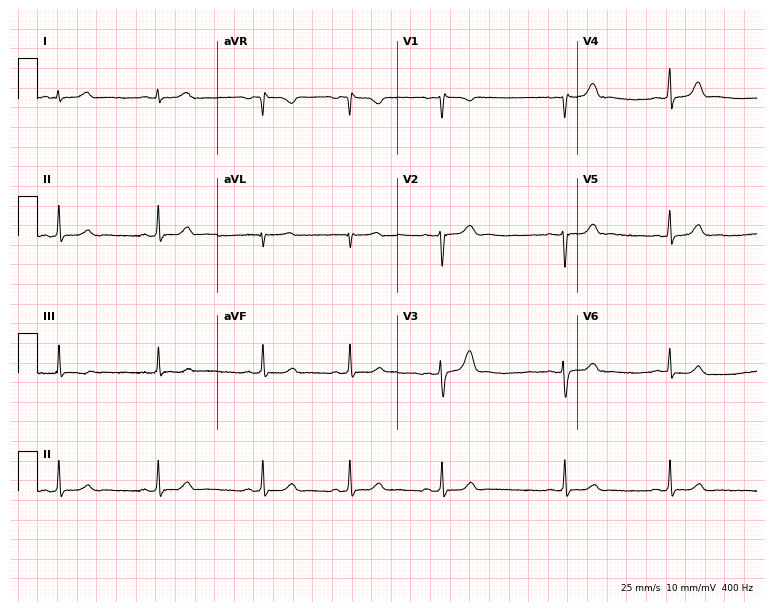
Resting 12-lead electrocardiogram (7.3-second recording at 400 Hz). Patient: a female, 22 years old. None of these six findings is recorded: first-degree AV block, right bundle branch block, left bundle branch block, sinus bradycardia, atrial fibrillation, sinus tachycardia.